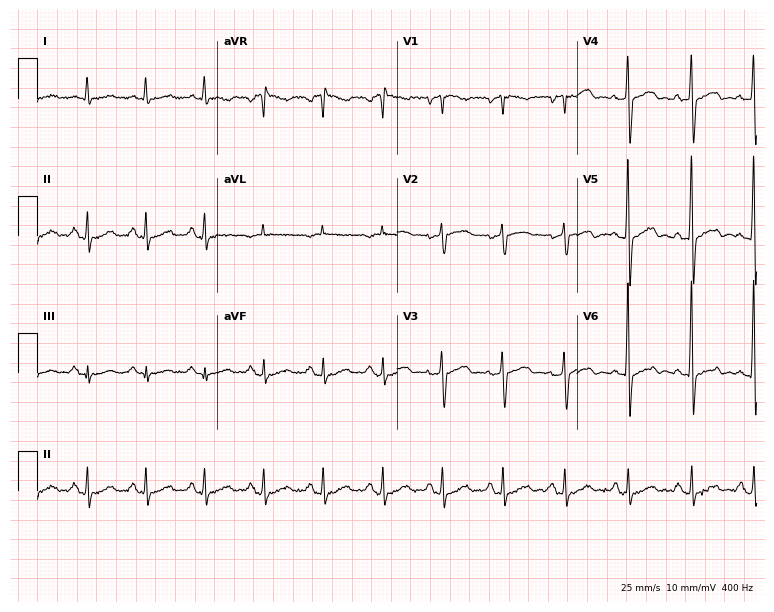
ECG (7.3-second recording at 400 Hz) — a male patient, 63 years old. Screened for six findings — first-degree AV block, right bundle branch block, left bundle branch block, sinus bradycardia, atrial fibrillation, sinus tachycardia — none is recorded. Other findings, if any, are not listed.